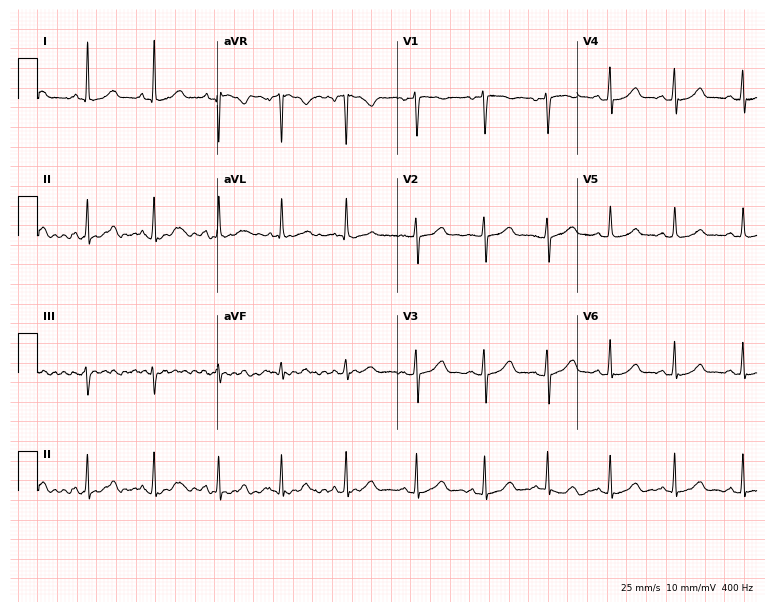
Electrocardiogram (7.3-second recording at 400 Hz), a 38-year-old female. Overall reading on record: normal ECG.